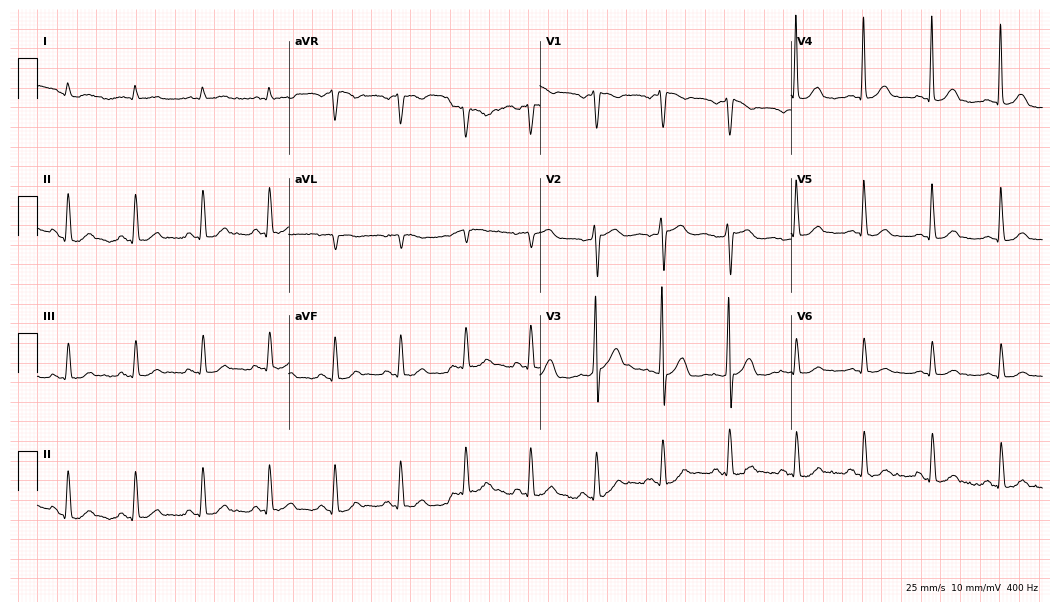
12-lead ECG (10.2-second recording at 400 Hz) from a male, 79 years old. Labelled as a normal ECG.